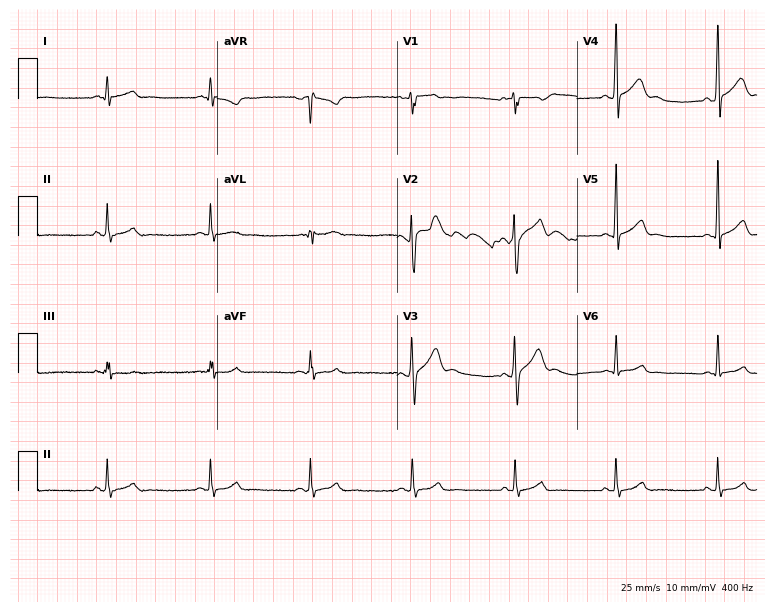
12-lead ECG from a male, 24 years old. Recorded interpretation: within normal limits.